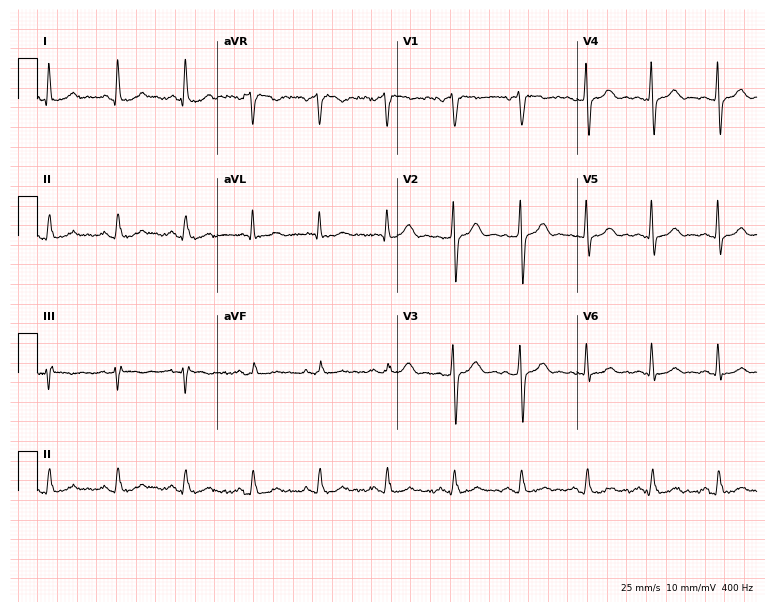
ECG (7.3-second recording at 400 Hz) — a male patient, 44 years old. Screened for six findings — first-degree AV block, right bundle branch block, left bundle branch block, sinus bradycardia, atrial fibrillation, sinus tachycardia — none is recorded. Findings outside these six are not listed.